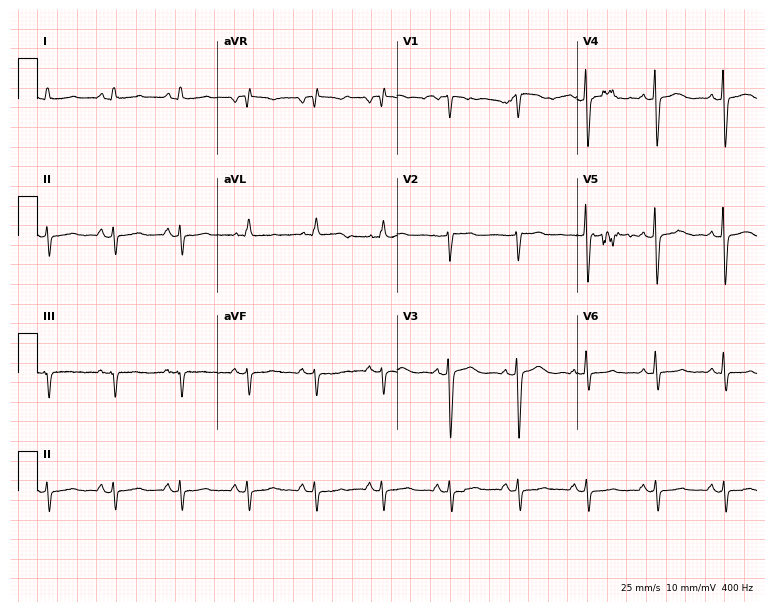
Standard 12-lead ECG recorded from a female, 46 years old (7.3-second recording at 400 Hz). None of these six findings is recorded: first-degree AV block, right bundle branch block, left bundle branch block, sinus bradycardia, atrial fibrillation, sinus tachycardia. Findings outside these six are not listed.